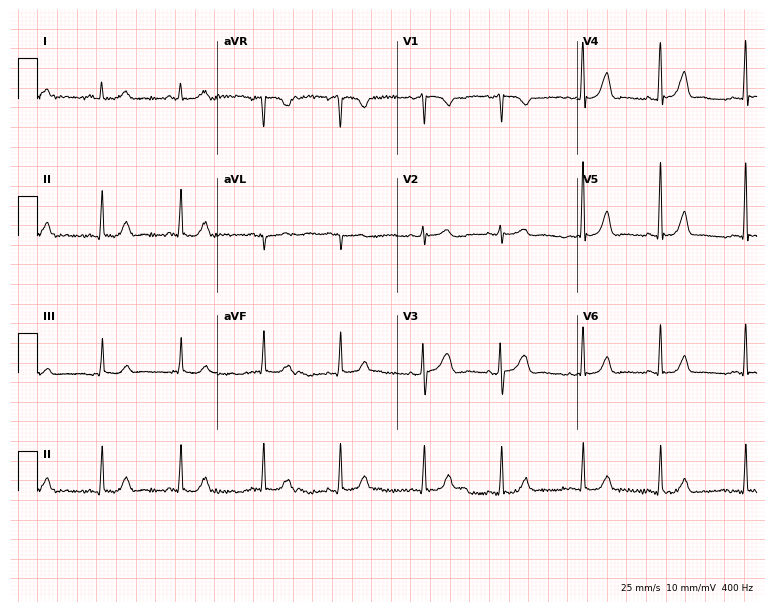
12-lead ECG from a woman, 57 years old. Labelled as a normal ECG.